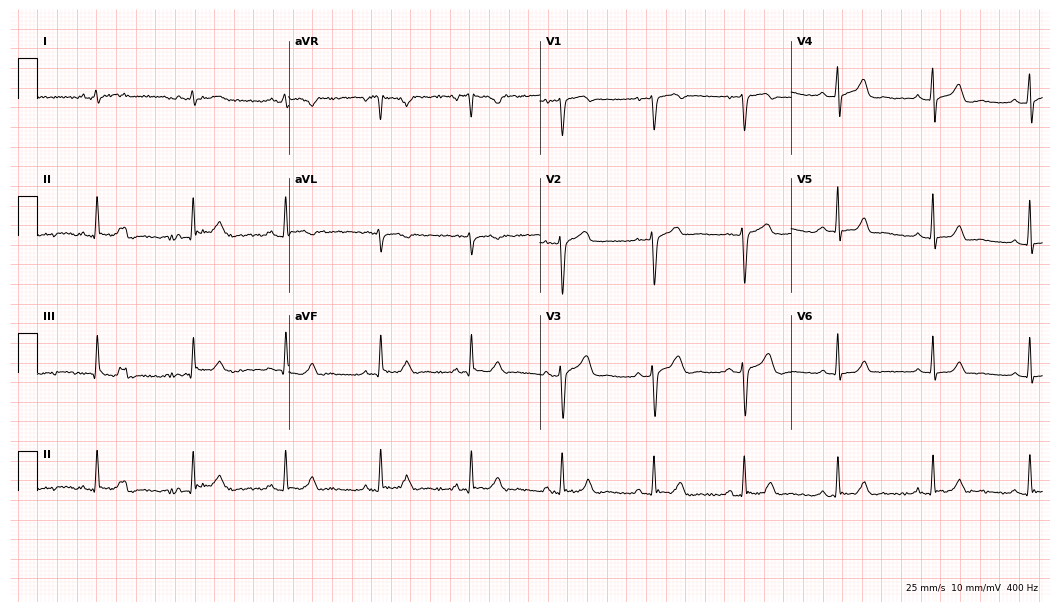
12-lead ECG from a female patient, 36 years old. No first-degree AV block, right bundle branch block, left bundle branch block, sinus bradycardia, atrial fibrillation or sinus tachycardia recorded for this tracing.